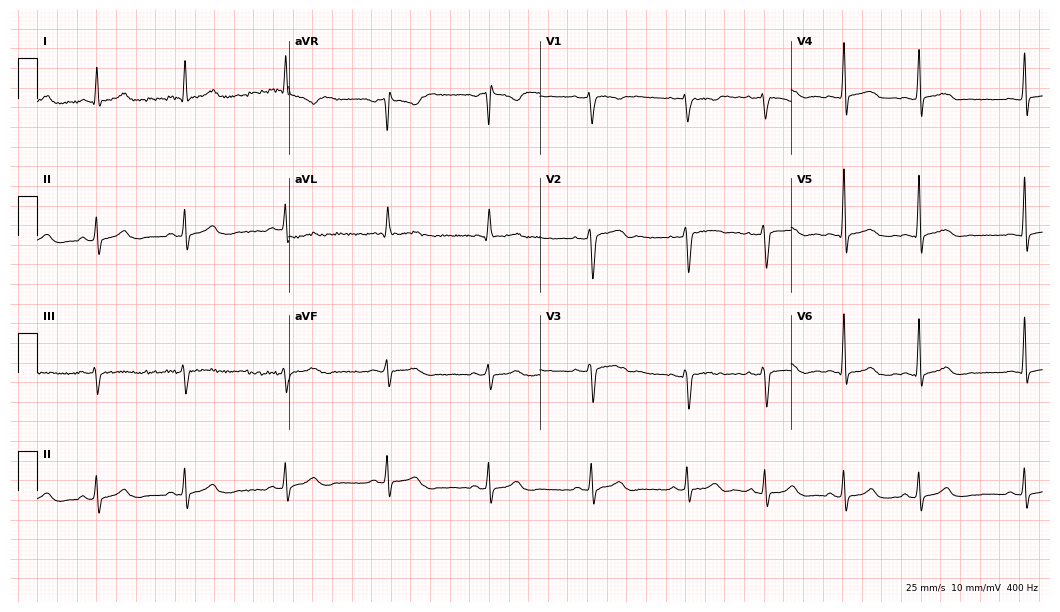
Standard 12-lead ECG recorded from a female patient, 46 years old (10.2-second recording at 400 Hz). Read as a normal ECG.